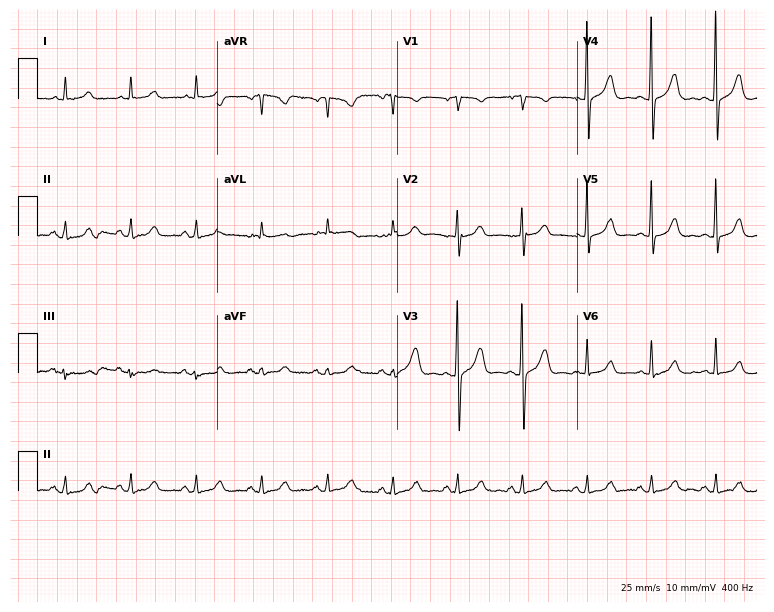
Resting 12-lead electrocardiogram (7.3-second recording at 400 Hz). Patient: a woman, 47 years old. Read as a normal ECG.